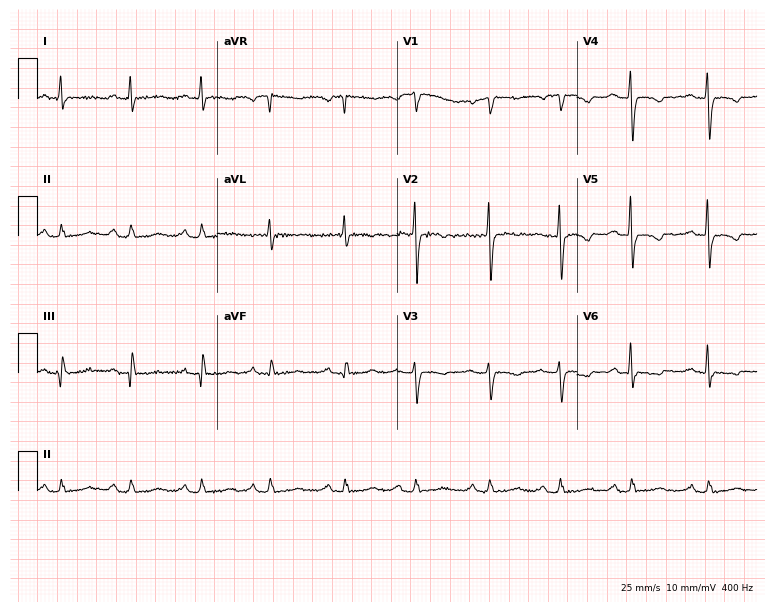
Standard 12-lead ECG recorded from a female, 74 years old. None of these six findings is recorded: first-degree AV block, right bundle branch block (RBBB), left bundle branch block (LBBB), sinus bradycardia, atrial fibrillation (AF), sinus tachycardia.